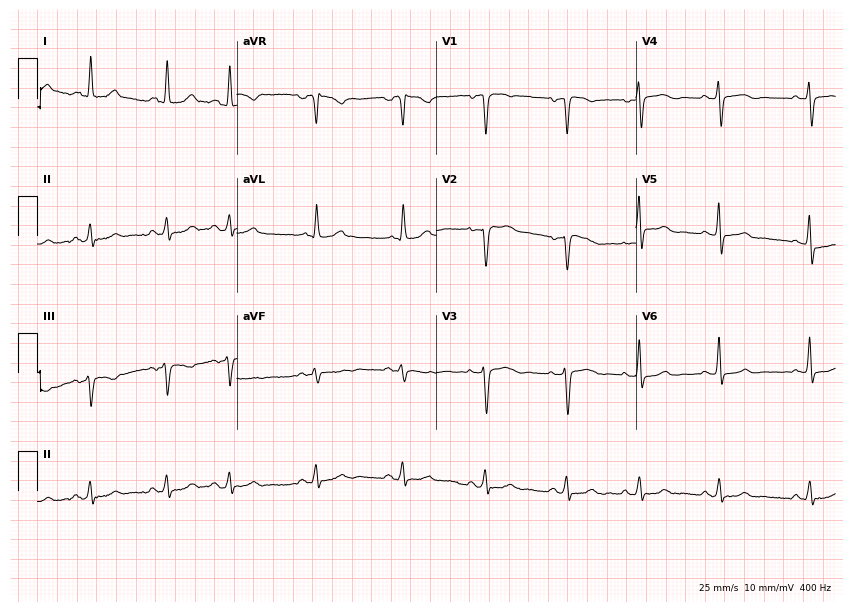
Resting 12-lead electrocardiogram (8.1-second recording at 400 Hz). Patient: a woman, 65 years old. None of these six findings is recorded: first-degree AV block, right bundle branch block, left bundle branch block, sinus bradycardia, atrial fibrillation, sinus tachycardia. Other findings, if any, are not listed.